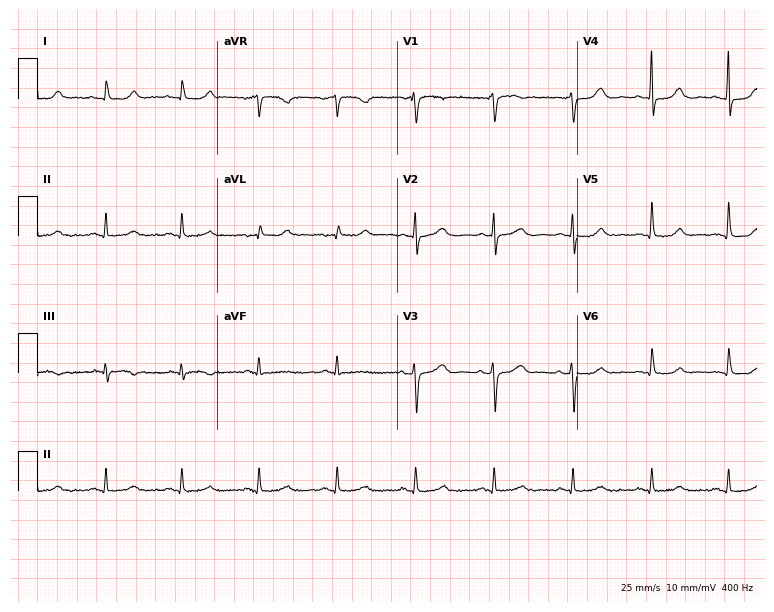
Electrocardiogram (7.3-second recording at 400 Hz), a woman, 70 years old. Of the six screened findings (first-degree AV block, right bundle branch block, left bundle branch block, sinus bradycardia, atrial fibrillation, sinus tachycardia), none is recorded. Only these six findings were labelled.